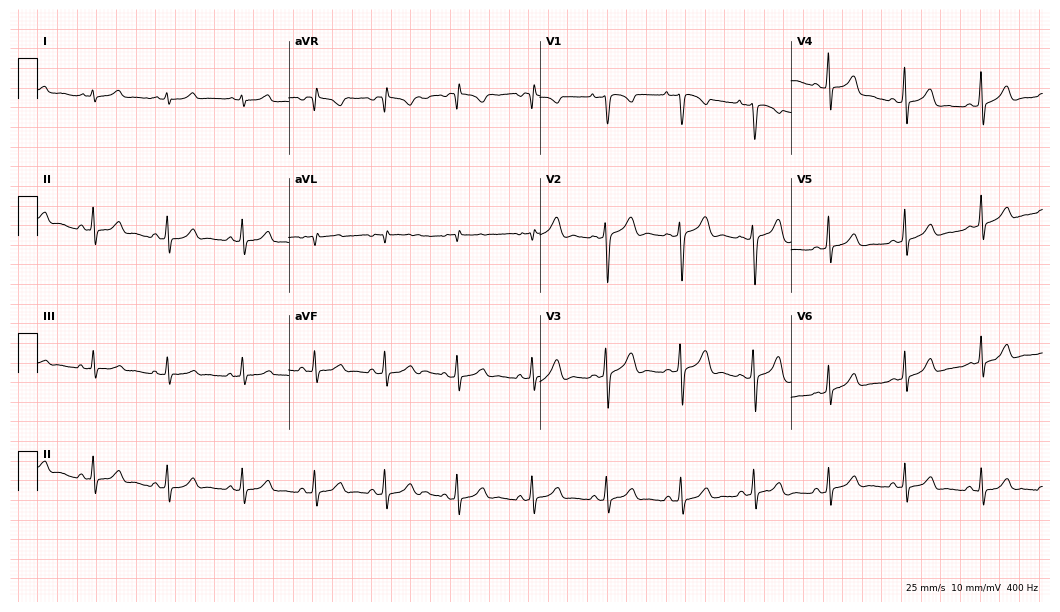
ECG (10.2-second recording at 400 Hz) — a man, 25 years old. Labelled as a normal ECG.